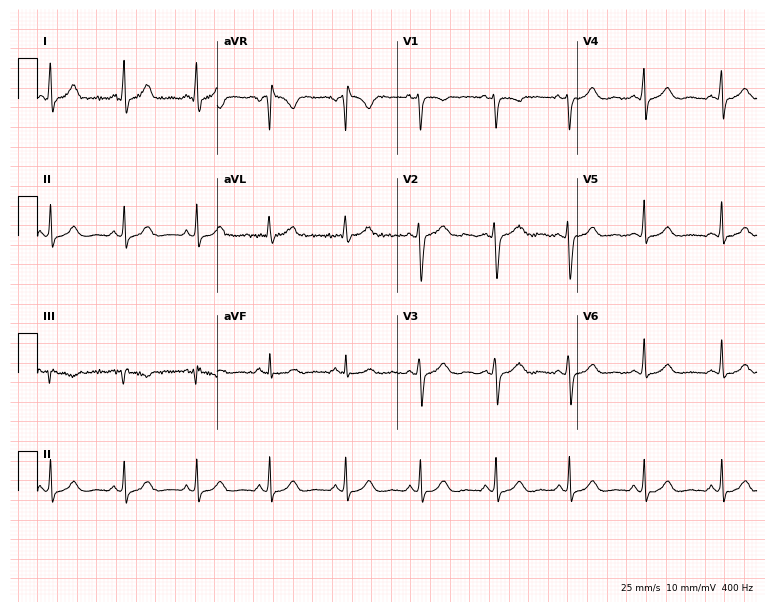
Standard 12-lead ECG recorded from a female patient, 35 years old. Read as a normal ECG.